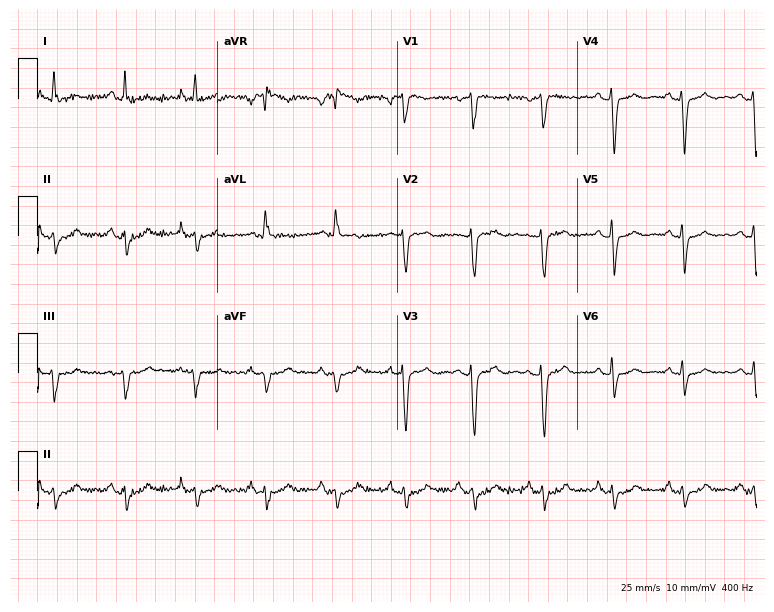
Standard 12-lead ECG recorded from a female patient, 64 years old (7.3-second recording at 400 Hz). None of these six findings is recorded: first-degree AV block, right bundle branch block (RBBB), left bundle branch block (LBBB), sinus bradycardia, atrial fibrillation (AF), sinus tachycardia.